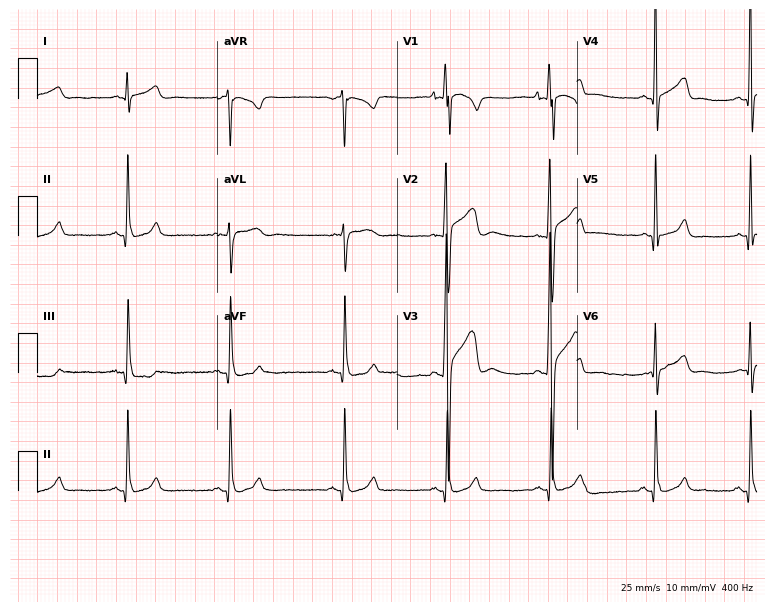
Standard 12-lead ECG recorded from a 21-year-old male patient (7.3-second recording at 400 Hz). None of these six findings is recorded: first-degree AV block, right bundle branch block, left bundle branch block, sinus bradycardia, atrial fibrillation, sinus tachycardia.